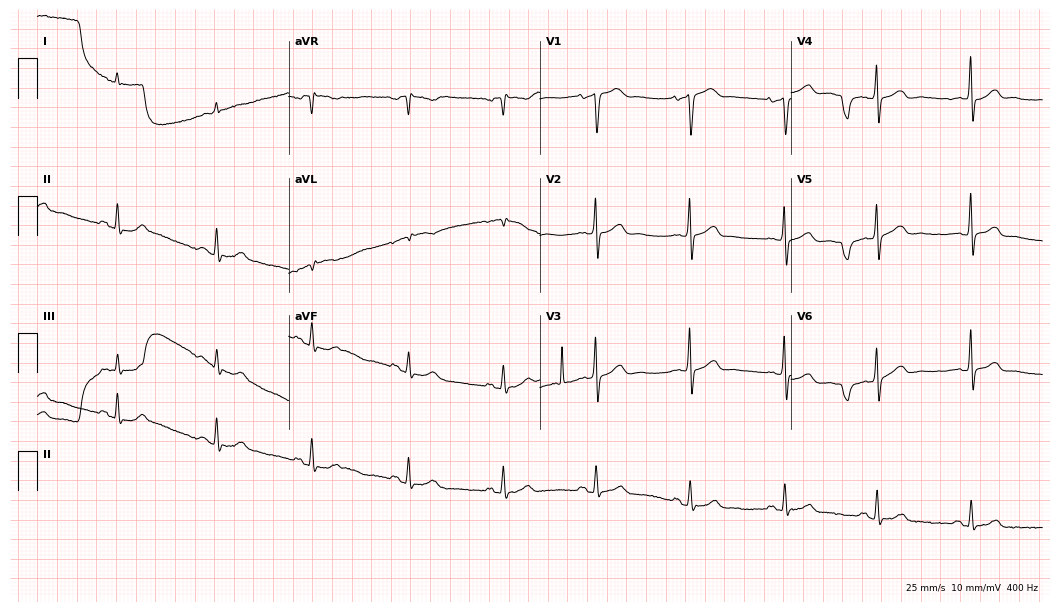
Resting 12-lead electrocardiogram. Patient: a 68-year-old female. None of these six findings is recorded: first-degree AV block, right bundle branch block, left bundle branch block, sinus bradycardia, atrial fibrillation, sinus tachycardia.